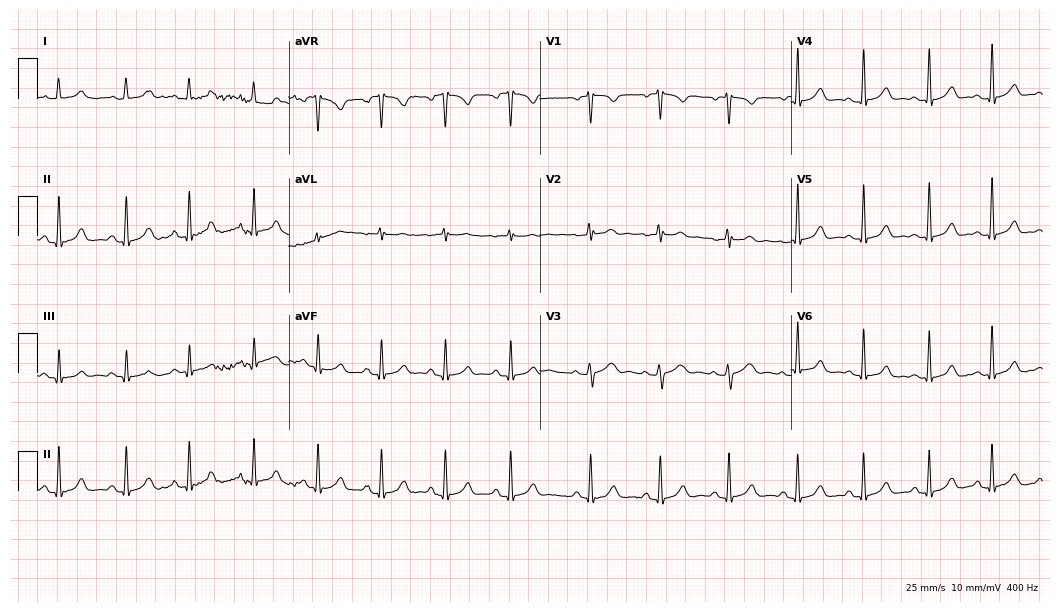
Electrocardiogram (10.2-second recording at 400 Hz), a 33-year-old female patient. Overall reading on record: normal ECG.